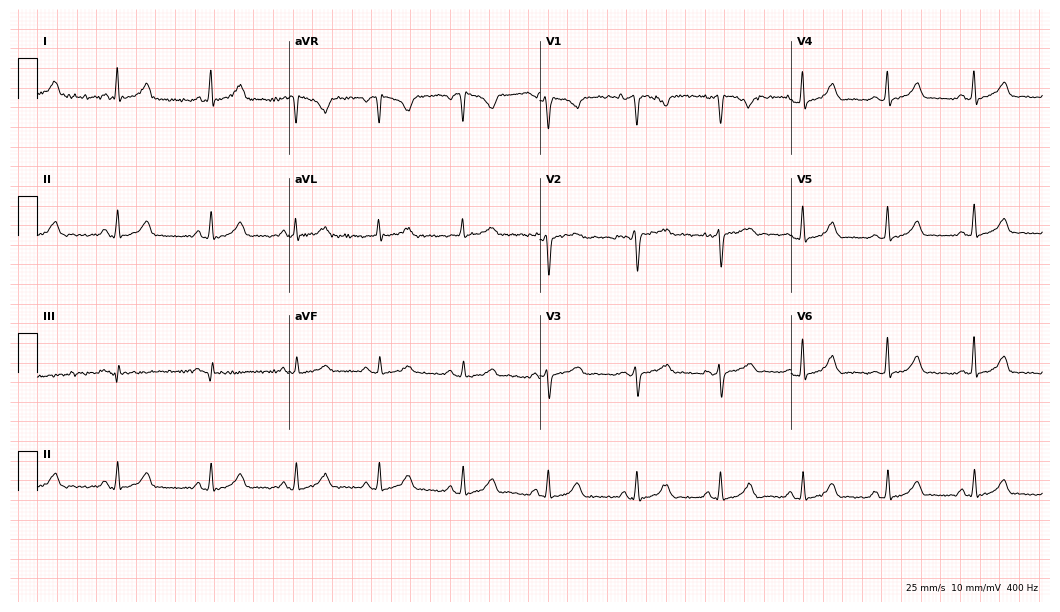
12-lead ECG from a 36-year-old female patient. Recorded interpretation: within normal limits.